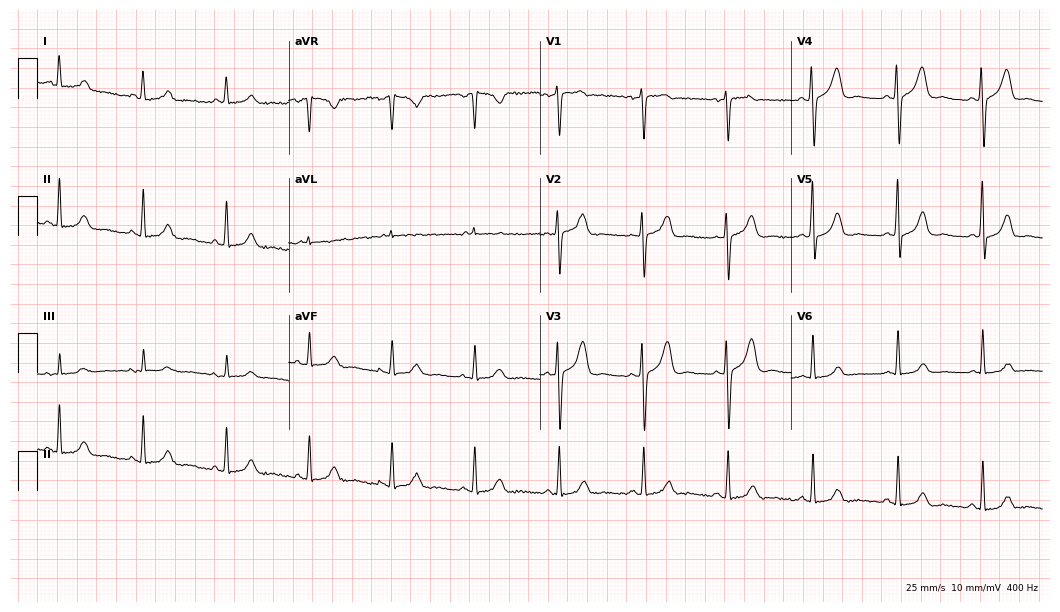
ECG (10.2-second recording at 400 Hz) — a woman, 54 years old. Labelled as a normal ECG.